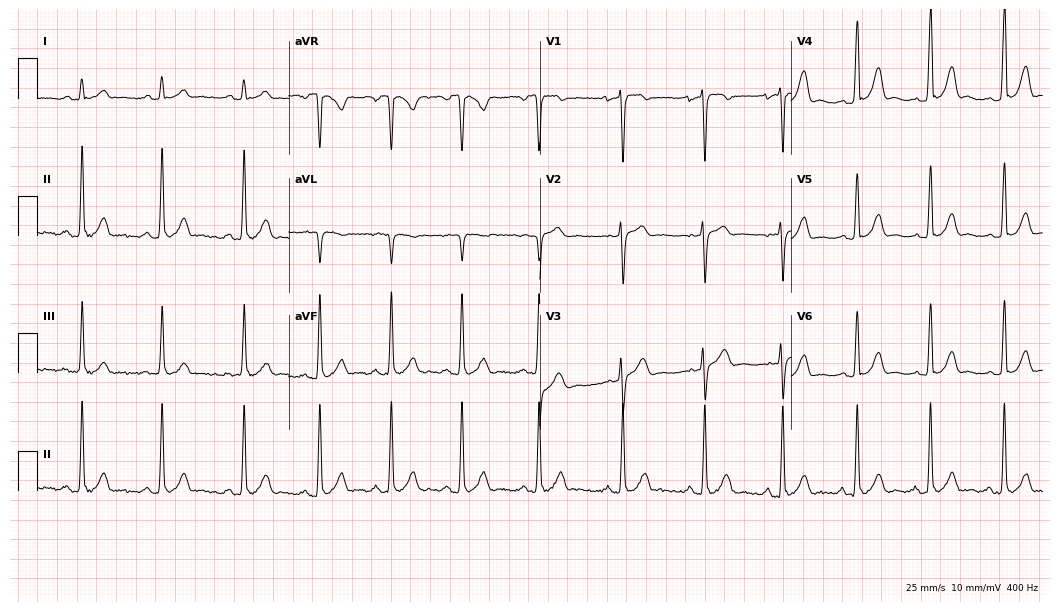
12-lead ECG (10.2-second recording at 400 Hz) from a man, 17 years old. Screened for six findings — first-degree AV block, right bundle branch block, left bundle branch block, sinus bradycardia, atrial fibrillation, sinus tachycardia — none is recorded.